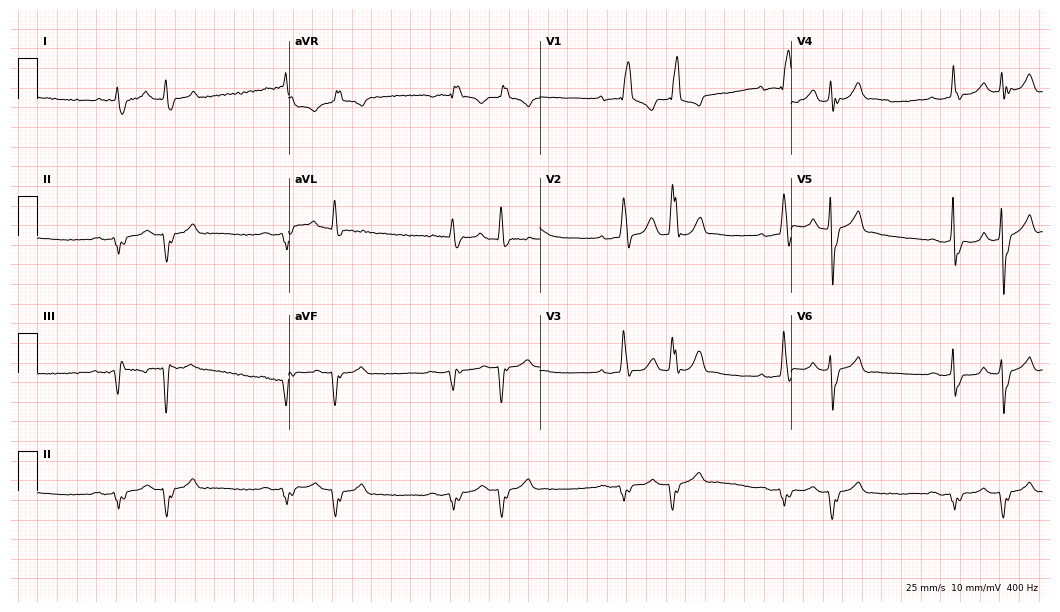
12-lead ECG (10.2-second recording at 400 Hz) from a 67-year-old female patient. Findings include first-degree AV block, right bundle branch block (RBBB).